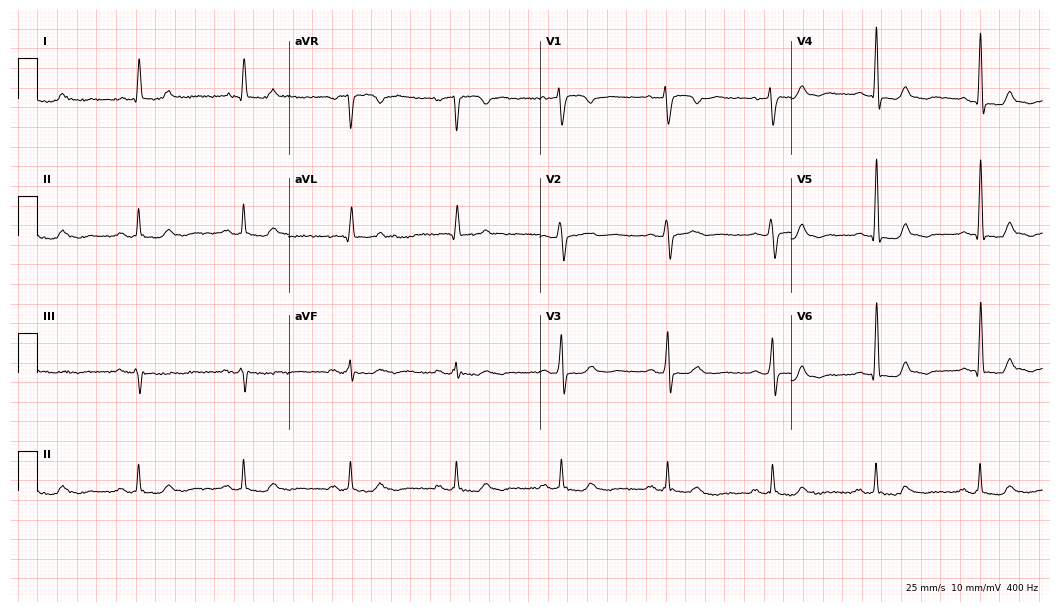
12-lead ECG from a 65-year-old man (10.2-second recording at 400 Hz). No first-degree AV block, right bundle branch block, left bundle branch block, sinus bradycardia, atrial fibrillation or sinus tachycardia recorded for this tracing.